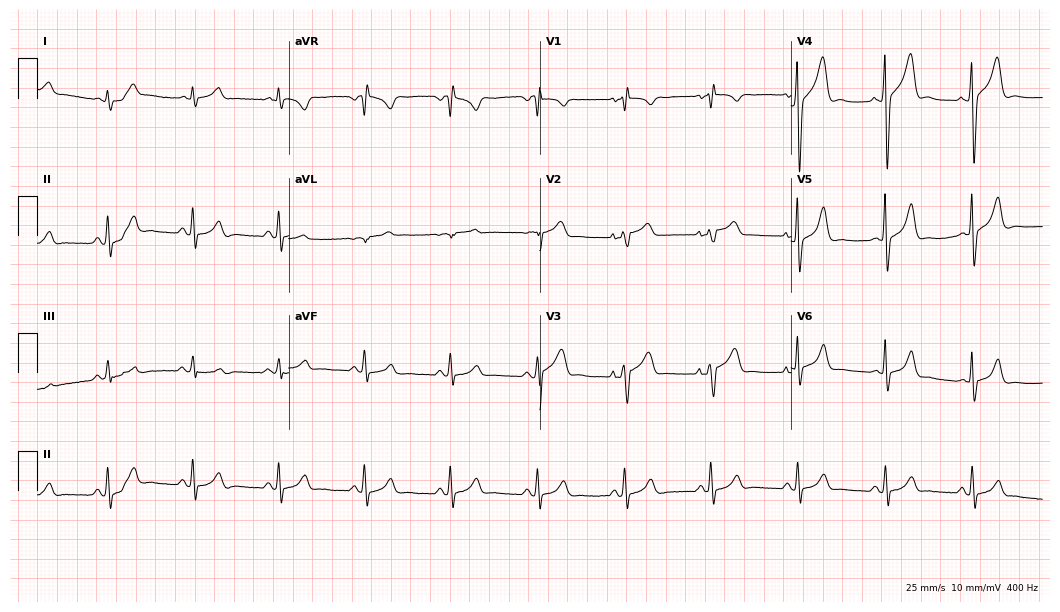
Electrocardiogram, a 71-year-old female patient. Of the six screened findings (first-degree AV block, right bundle branch block (RBBB), left bundle branch block (LBBB), sinus bradycardia, atrial fibrillation (AF), sinus tachycardia), none is recorded.